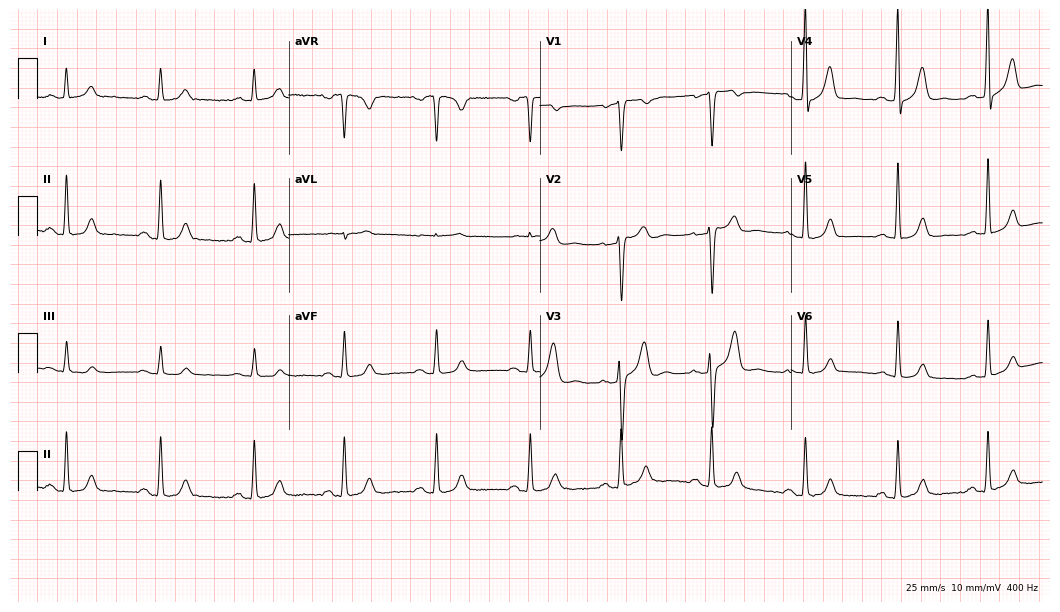
12-lead ECG from a man, 54 years old (10.2-second recording at 400 Hz). No first-degree AV block, right bundle branch block (RBBB), left bundle branch block (LBBB), sinus bradycardia, atrial fibrillation (AF) or sinus tachycardia recorded for this tracing. Only these six findings were labelled.